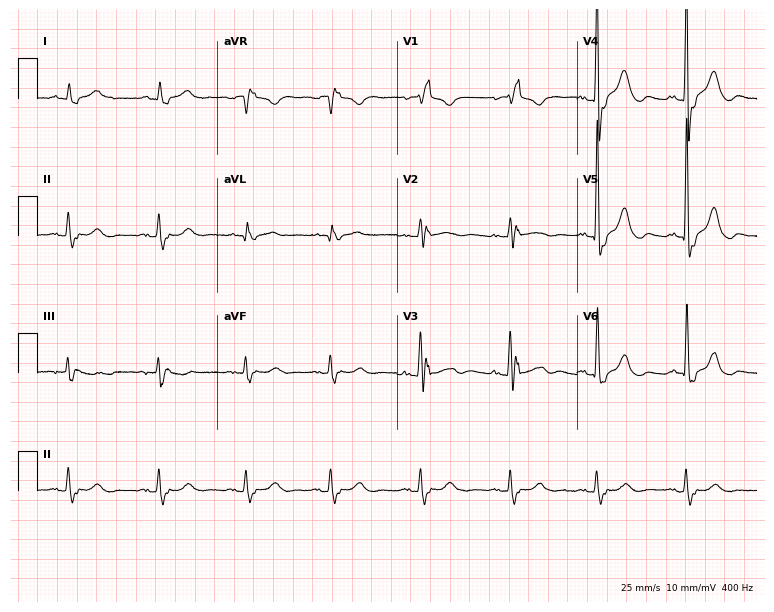
Standard 12-lead ECG recorded from an 84-year-old female (7.3-second recording at 400 Hz). None of these six findings is recorded: first-degree AV block, right bundle branch block, left bundle branch block, sinus bradycardia, atrial fibrillation, sinus tachycardia. Other findings, if any, are not listed.